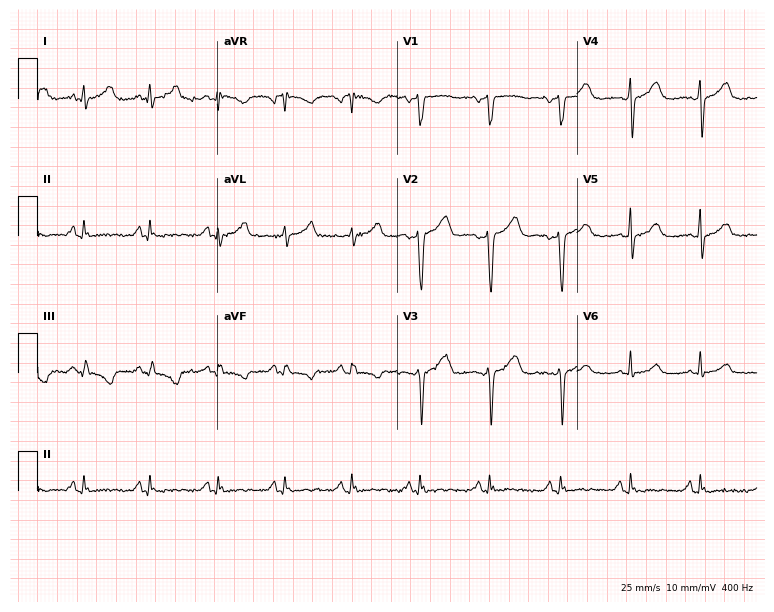
Standard 12-lead ECG recorded from a 53-year-old woman. None of these six findings is recorded: first-degree AV block, right bundle branch block (RBBB), left bundle branch block (LBBB), sinus bradycardia, atrial fibrillation (AF), sinus tachycardia.